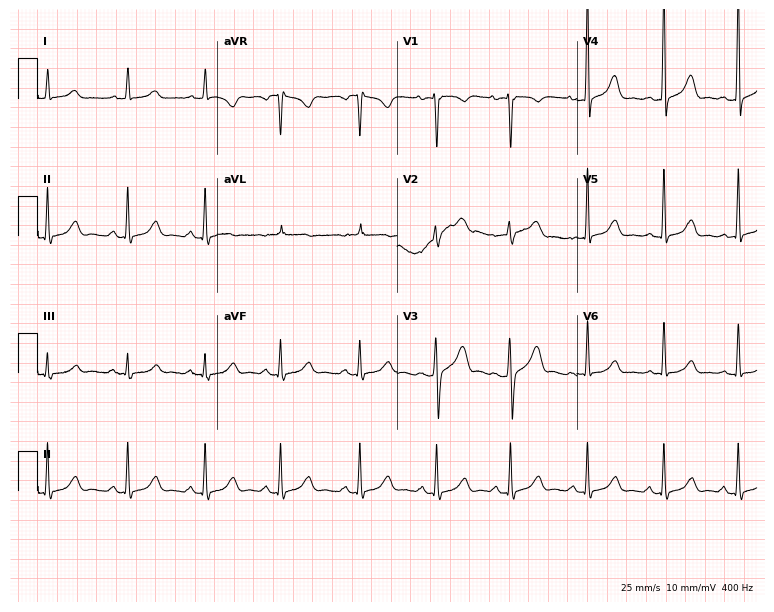
ECG — a 34-year-old woman. Labelled as a normal ECG.